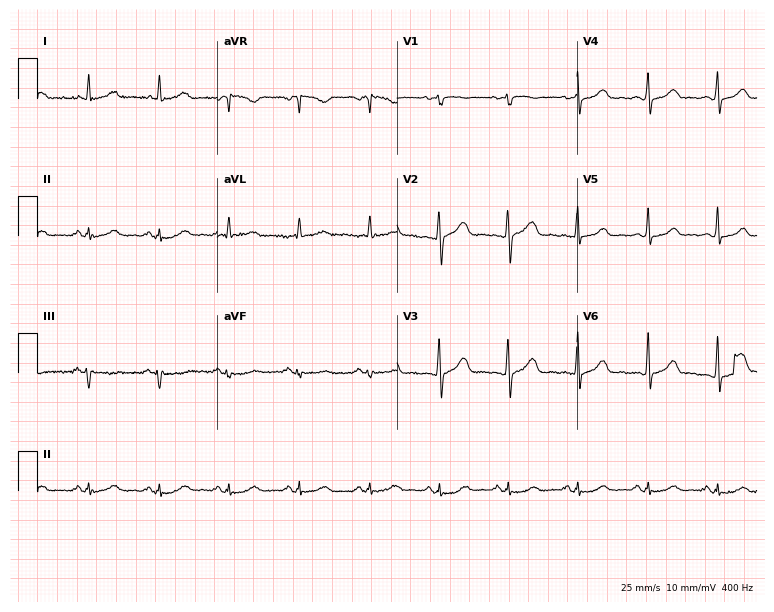
Electrocardiogram, a female patient, 52 years old. Of the six screened findings (first-degree AV block, right bundle branch block (RBBB), left bundle branch block (LBBB), sinus bradycardia, atrial fibrillation (AF), sinus tachycardia), none is recorded.